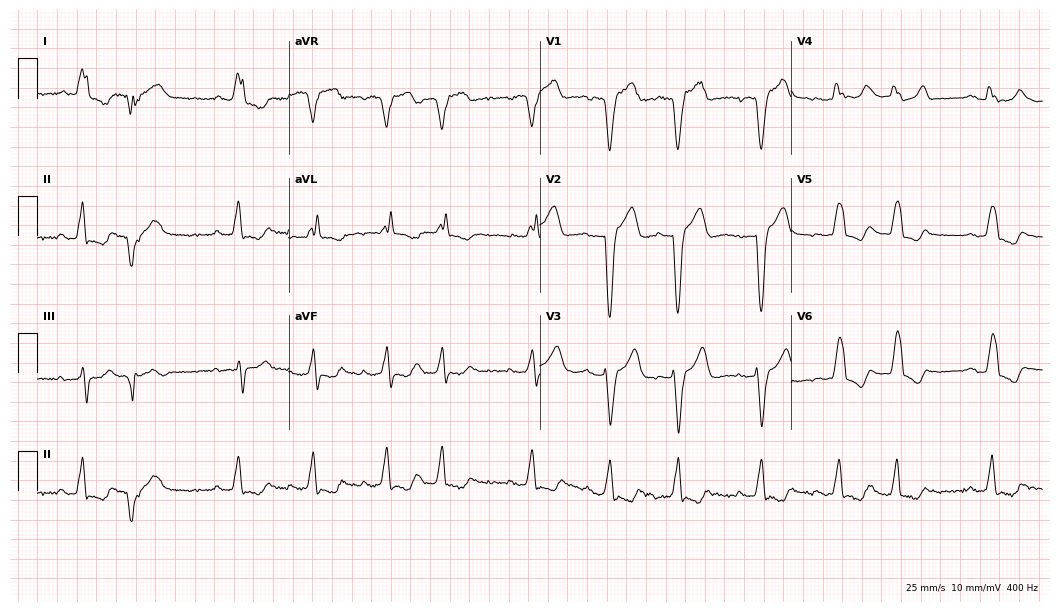
Resting 12-lead electrocardiogram (10.2-second recording at 400 Hz). Patient: an 84-year-old female. The tracing shows left bundle branch block.